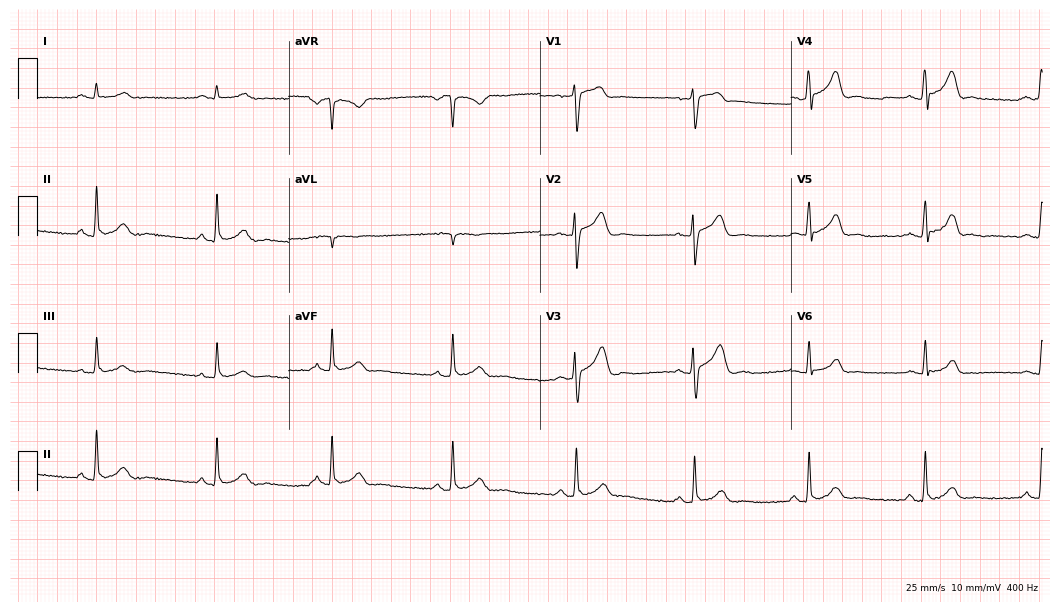
12-lead ECG from a 43-year-old male (10.2-second recording at 400 Hz). Recorded interpretation: within normal limits.